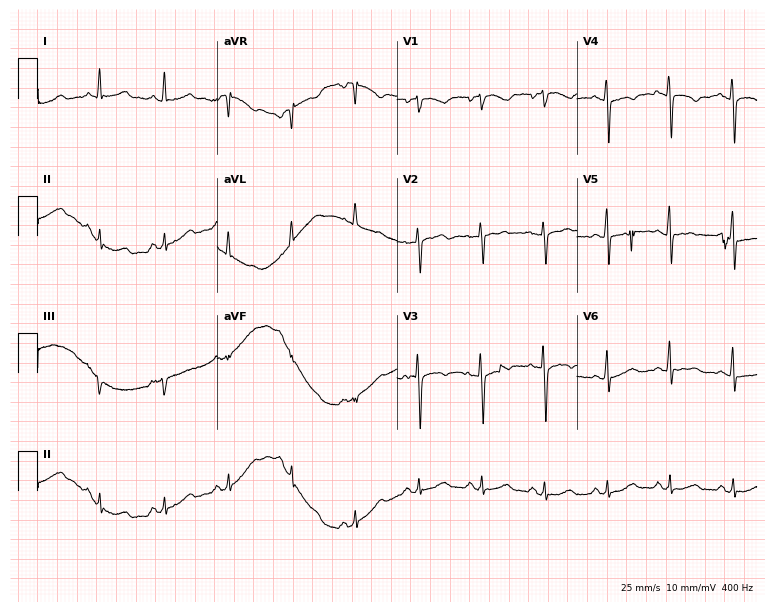
ECG — a man, 53 years old. Labelled as a normal ECG.